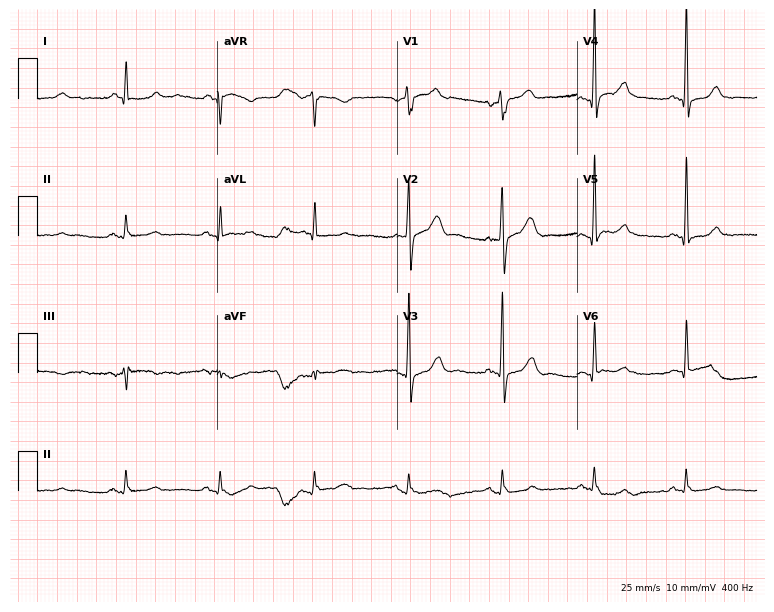
ECG (7.3-second recording at 400 Hz) — a 65-year-old man. Labelled as a normal ECG.